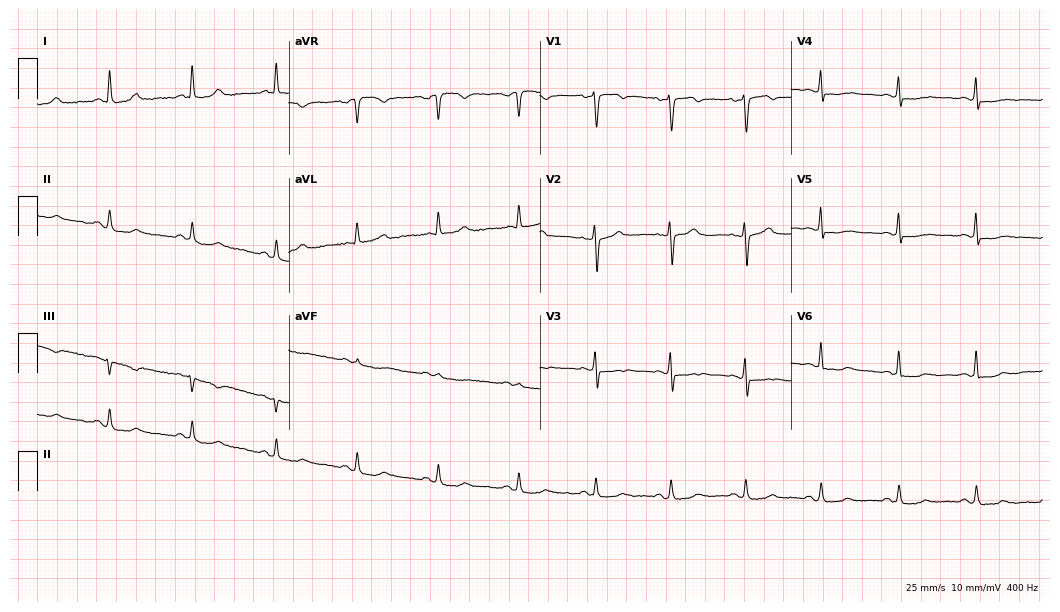
12-lead ECG from a female, 48 years old. Screened for six findings — first-degree AV block, right bundle branch block, left bundle branch block, sinus bradycardia, atrial fibrillation, sinus tachycardia — none is recorded.